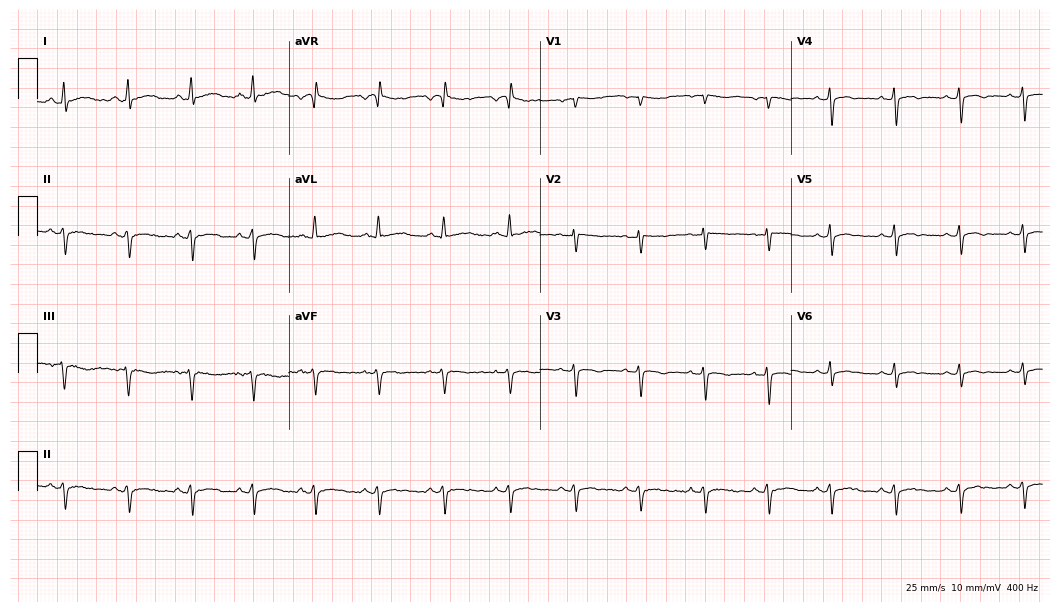
Electrocardiogram (10.2-second recording at 400 Hz), a 45-year-old female. Of the six screened findings (first-degree AV block, right bundle branch block, left bundle branch block, sinus bradycardia, atrial fibrillation, sinus tachycardia), none is recorded.